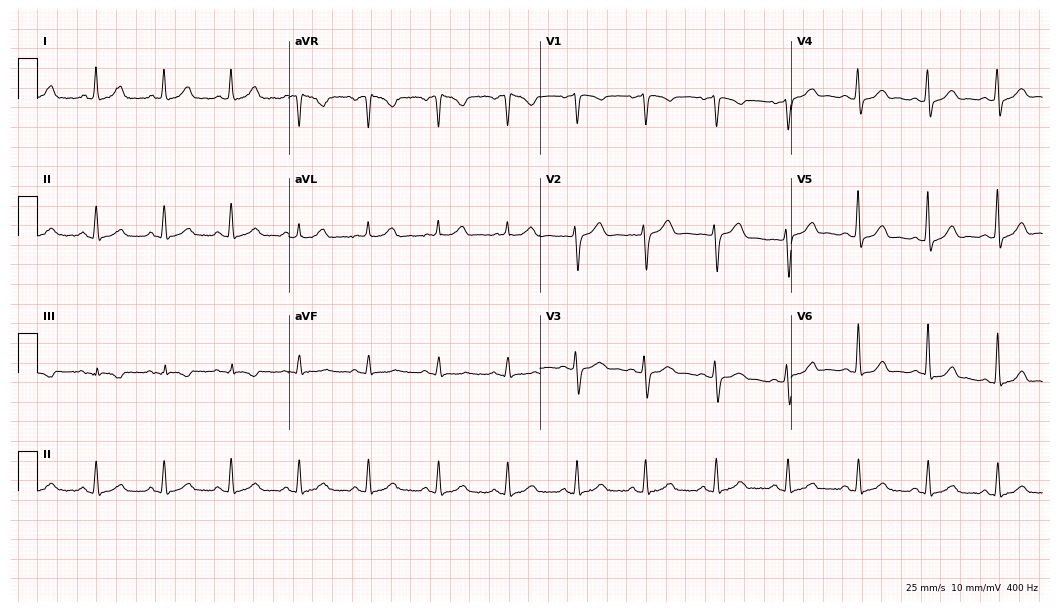
ECG (10.2-second recording at 400 Hz) — a 50-year-old female. Labelled as a normal ECG.